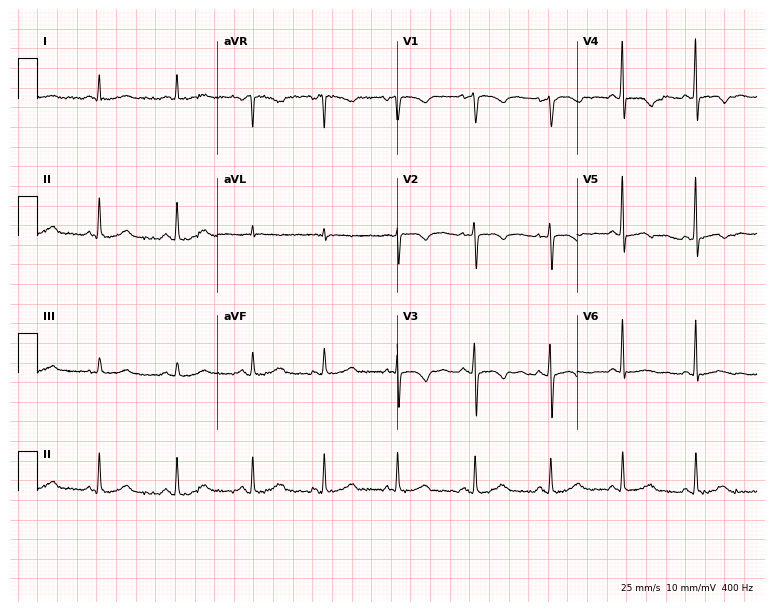
12-lead ECG from a 51-year-old woman. No first-degree AV block, right bundle branch block, left bundle branch block, sinus bradycardia, atrial fibrillation or sinus tachycardia recorded for this tracing. Other findings, if any, are not listed.